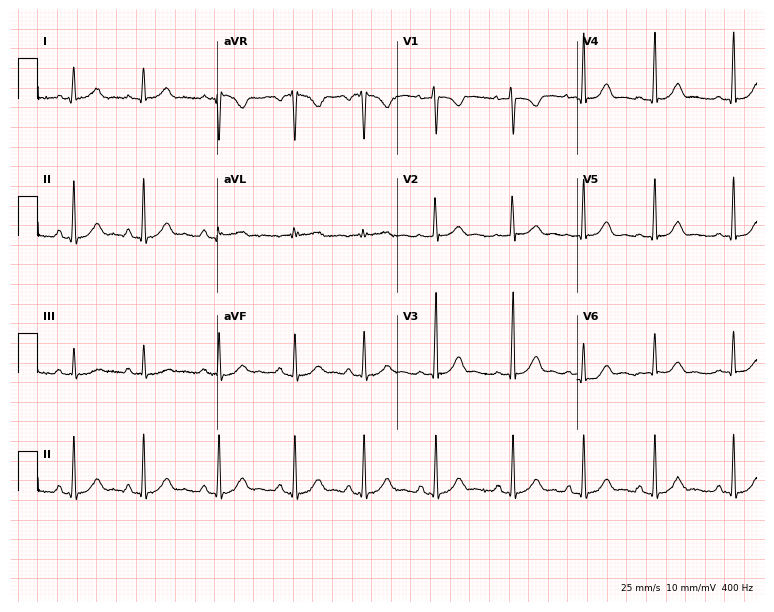
Standard 12-lead ECG recorded from a female patient, 24 years old (7.3-second recording at 400 Hz). Read as a normal ECG.